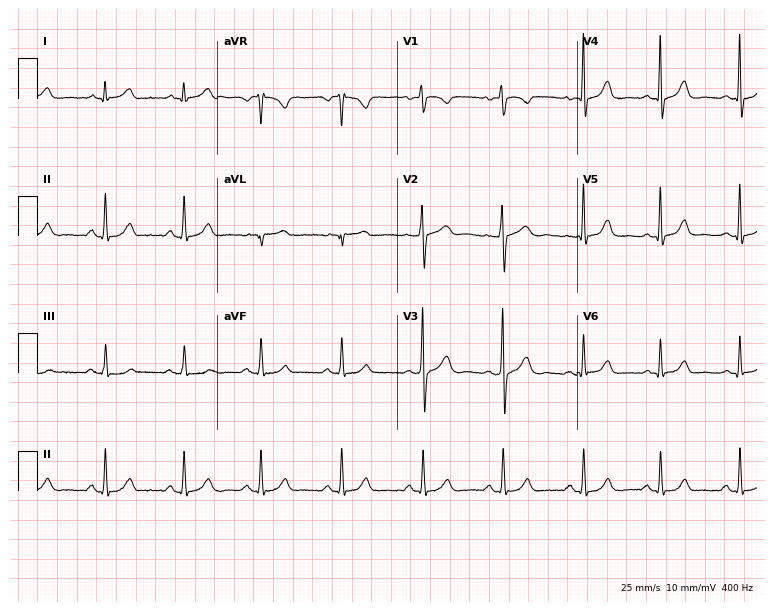
12-lead ECG (7.3-second recording at 400 Hz) from a 35-year-old female patient. Labelled as a normal ECG.